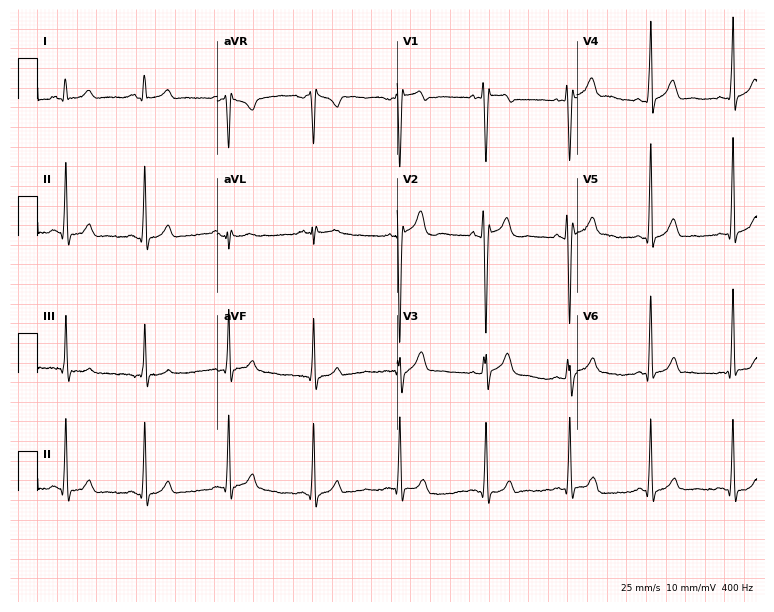
Resting 12-lead electrocardiogram (7.3-second recording at 400 Hz). Patient: a 21-year-old male. None of these six findings is recorded: first-degree AV block, right bundle branch block, left bundle branch block, sinus bradycardia, atrial fibrillation, sinus tachycardia.